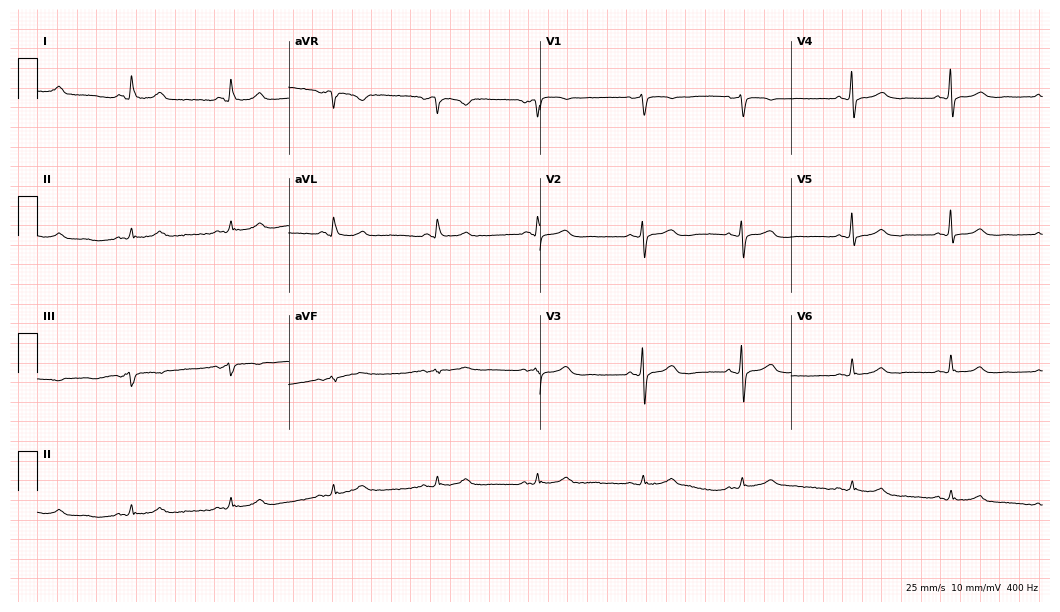
12-lead ECG from a 63-year-old female (10.2-second recording at 400 Hz). Shows sinus bradycardia (a sinus rate of 50 beats per minute or less).